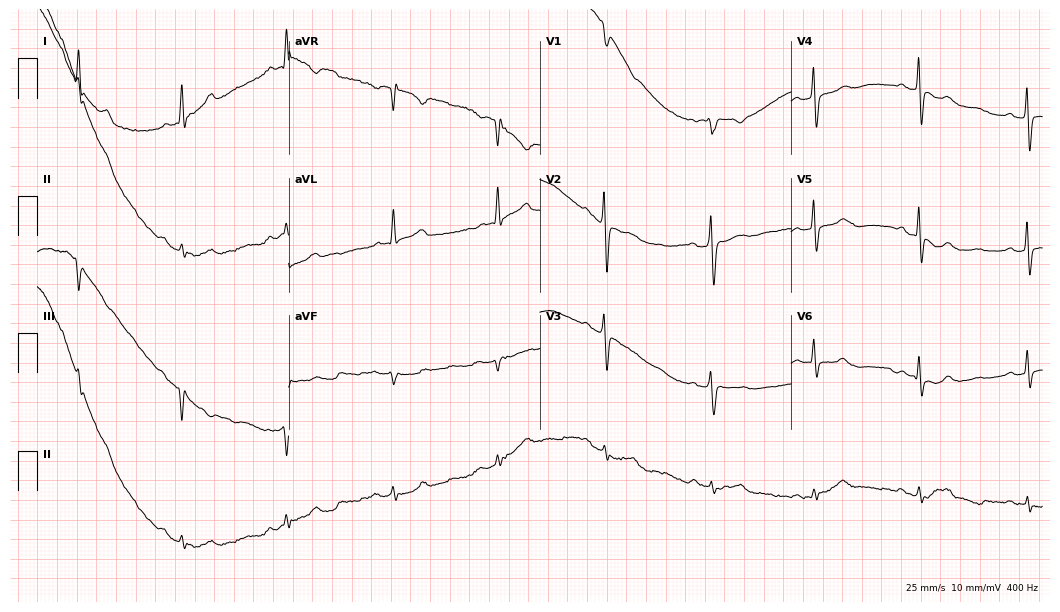
ECG (10.2-second recording at 400 Hz) — a 68-year-old female. Screened for six findings — first-degree AV block, right bundle branch block (RBBB), left bundle branch block (LBBB), sinus bradycardia, atrial fibrillation (AF), sinus tachycardia — none is recorded.